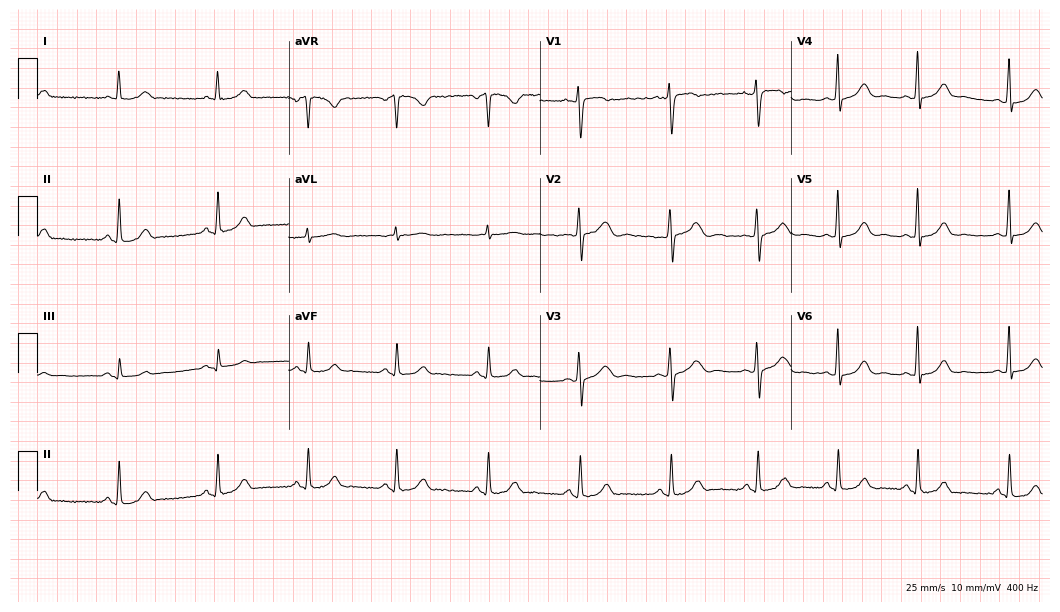
Electrocardiogram, a woman, 29 years old. Overall reading on record: normal ECG.